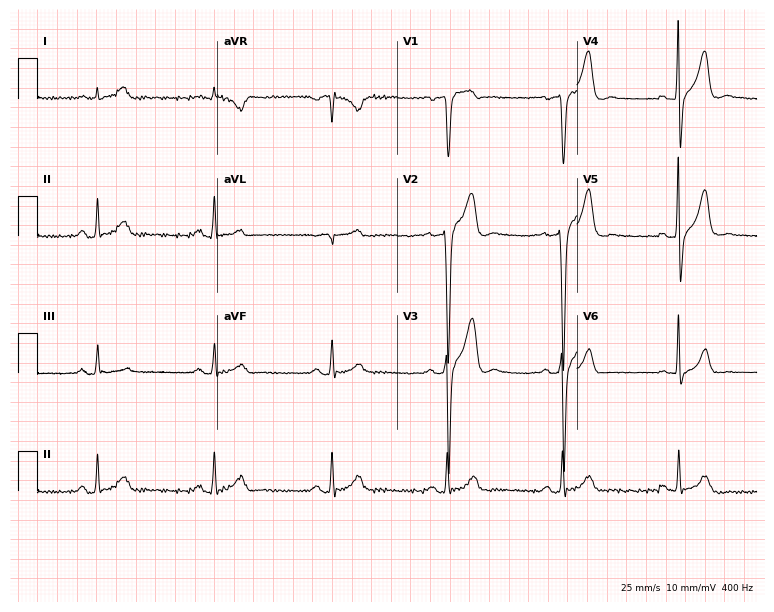
ECG (7.3-second recording at 400 Hz) — a 52-year-old male patient. Screened for six findings — first-degree AV block, right bundle branch block, left bundle branch block, sinus bradycardia, atrial fibrillation, sinus tachycardia — none is recorded. Only these six findings were labelled.